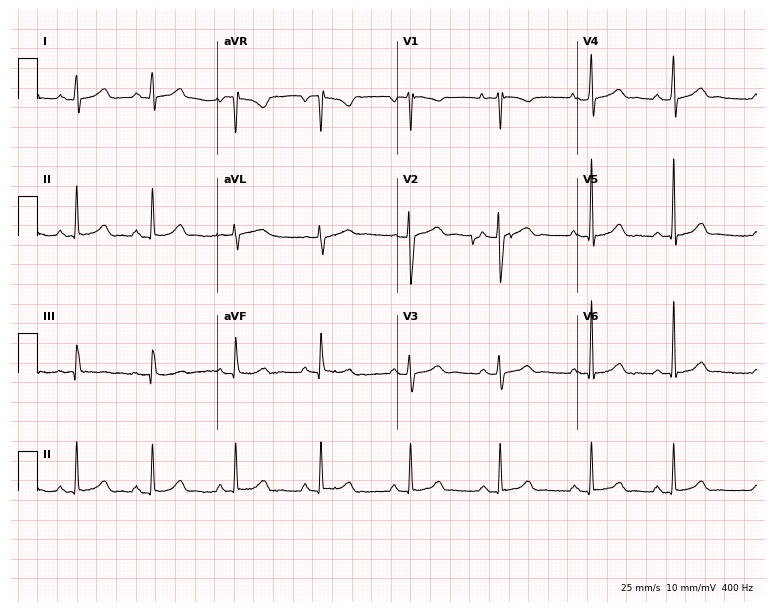
Electrocardiogram (7.3-second recording at 400 Hz), a woman, 37 years old. Overall reading on record: normal ECG.